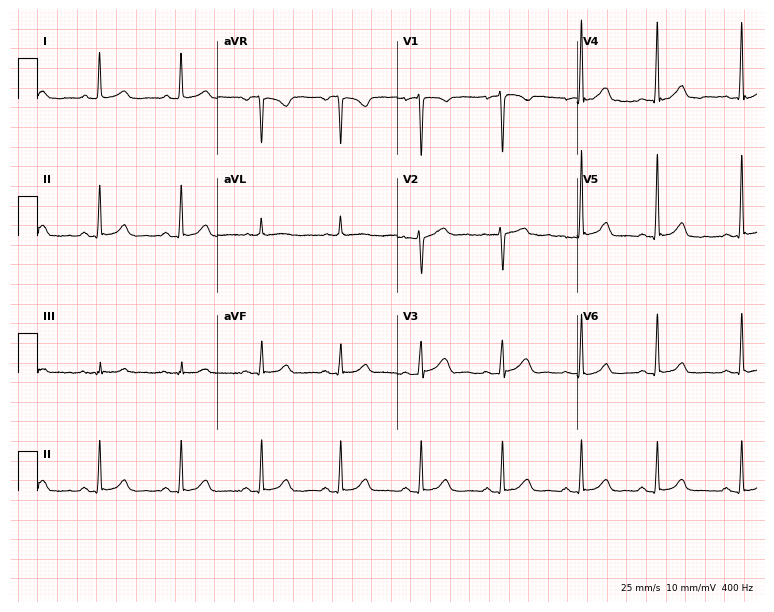
12-lead ECG from a woman, 37 years old. Recorded interpretation: within normal limits.